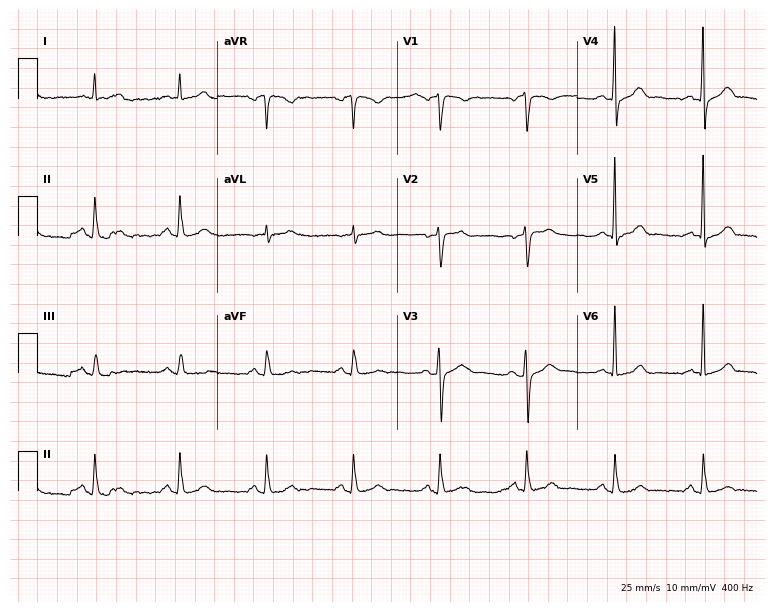
Standard 12-lead ECG recorded from a 61-year-old man (7.3-second recording at 400 Hz). None of these six findings is recorded: first-degree AV block, right bundle branch block (RBBB), left bundle branch block (LBBB), sinus bradycardia, atrial fibrillation (AF), sinus tachycardia.